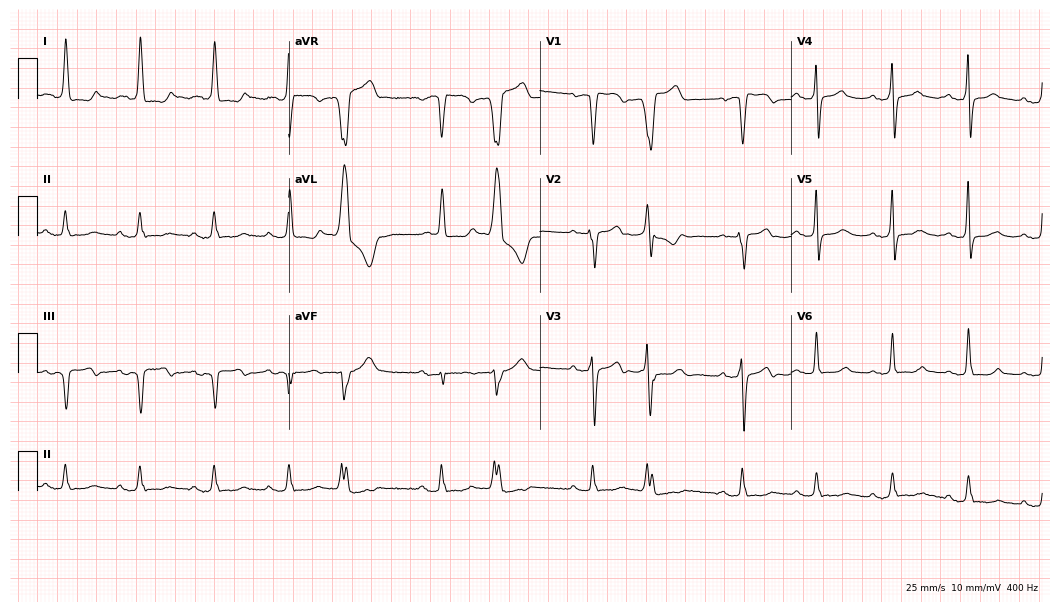
12-lead ECG from a female patient, 70 years old. Findings include first-degree AV block.